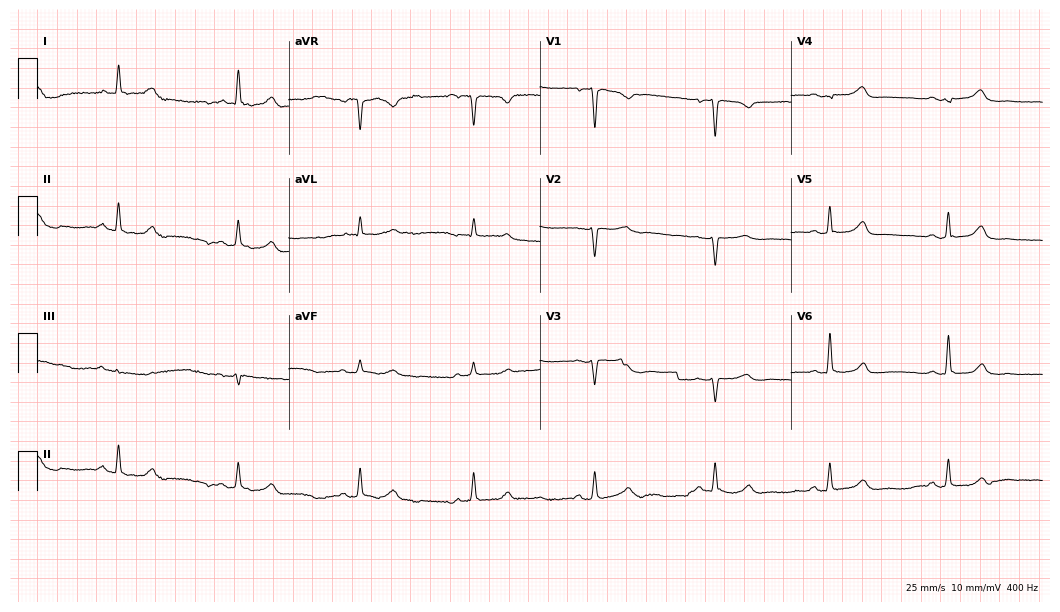
Electrocardiogram (10.2-second recording at 400 Hz), a 49-year-old female. Of the six screened findings (first-degree AV block, right bundle branch block (RBBB), left bundle branch block (LBBB), sinus bradycardia, atrial fibrillation (AF), sinus tachycardia), none is recorded.